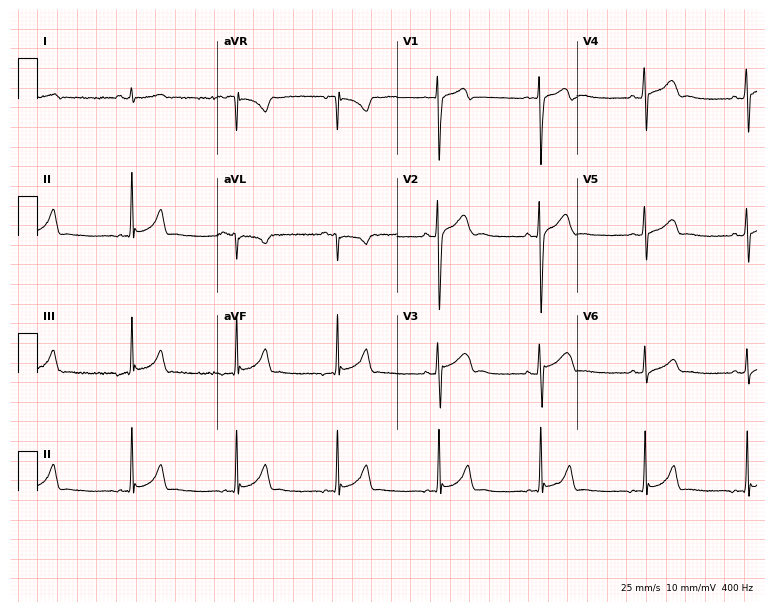
Resting 12-lead electrocardiogram (7.3-second recording at 400 Hz). Patient: a 20-year-old male. Read as a normal ECG.